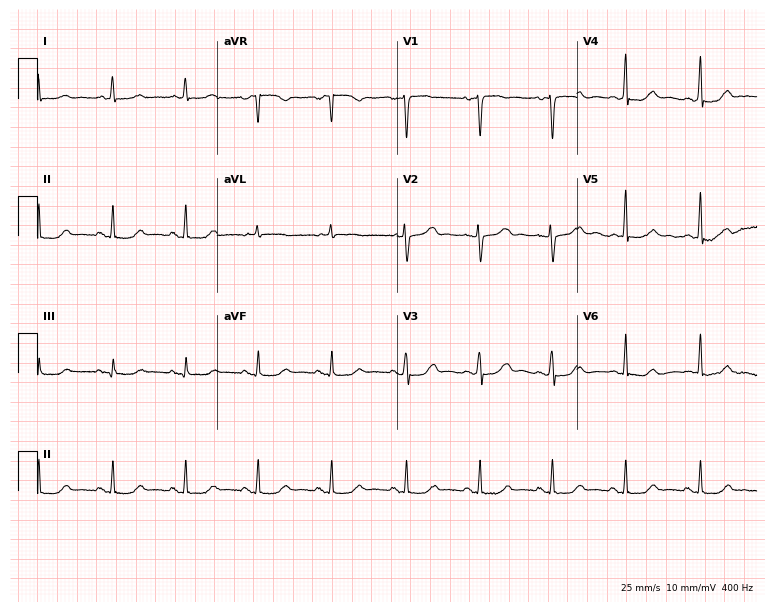
12-lead ECG (7.3-second recording at 400 Hz) from a female patient, 52 years old. Labelled as a normal ECG.